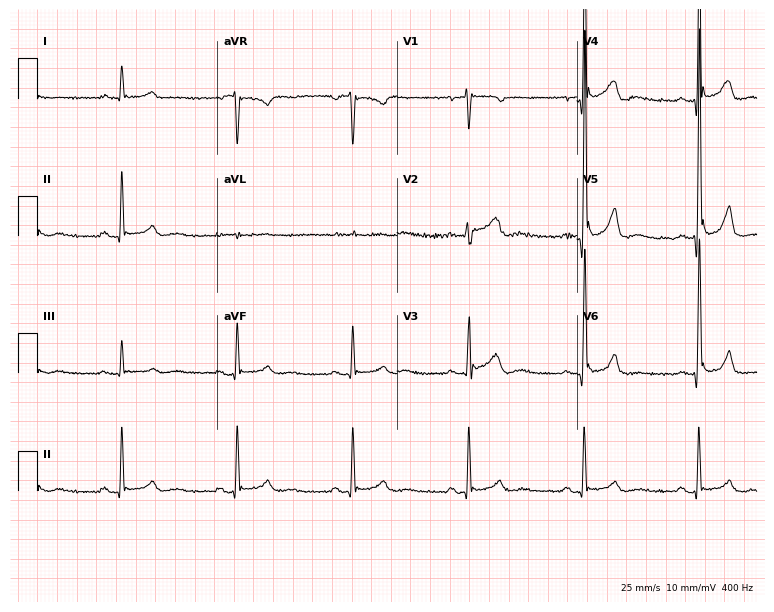
12-lead ECG (7.3-second recording at 400 Hz) from a male, 74 years old. Screened for six findings — first-degree AV block, right bundle branch block, left bundle branch block, sinus bradycardia, atrial fibrillation, sinus tachycardia — none is recorded. Only these six findings were labelled.